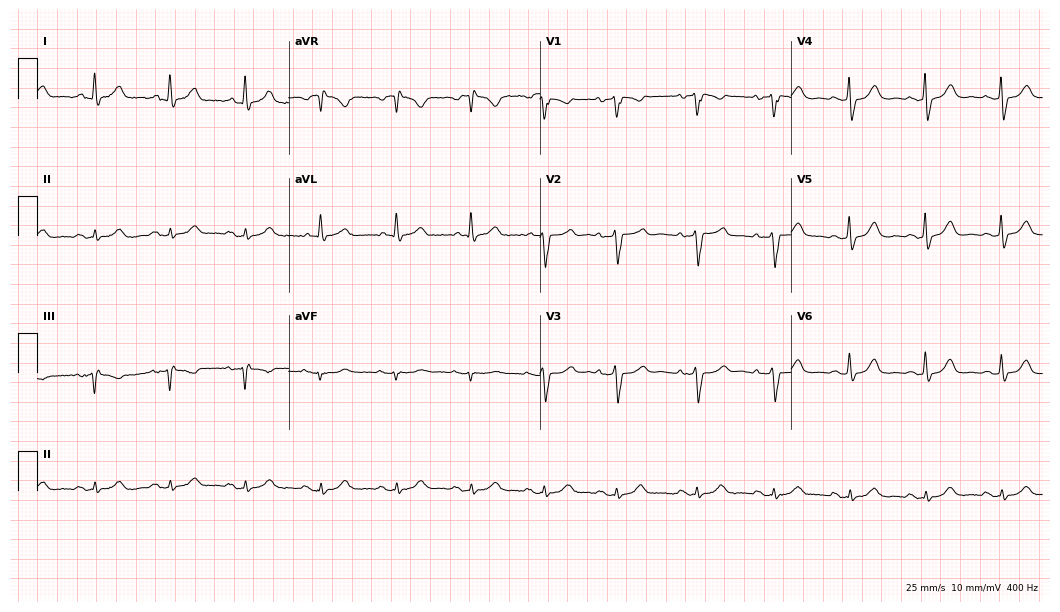
12-lead ECG from a 76-year-old female patient. No first-degree AV block, right bundle branch block, left bundle branch block, sinus bradycardia, atrial fibrillation or sinus tachycardia recorded for this tracing.